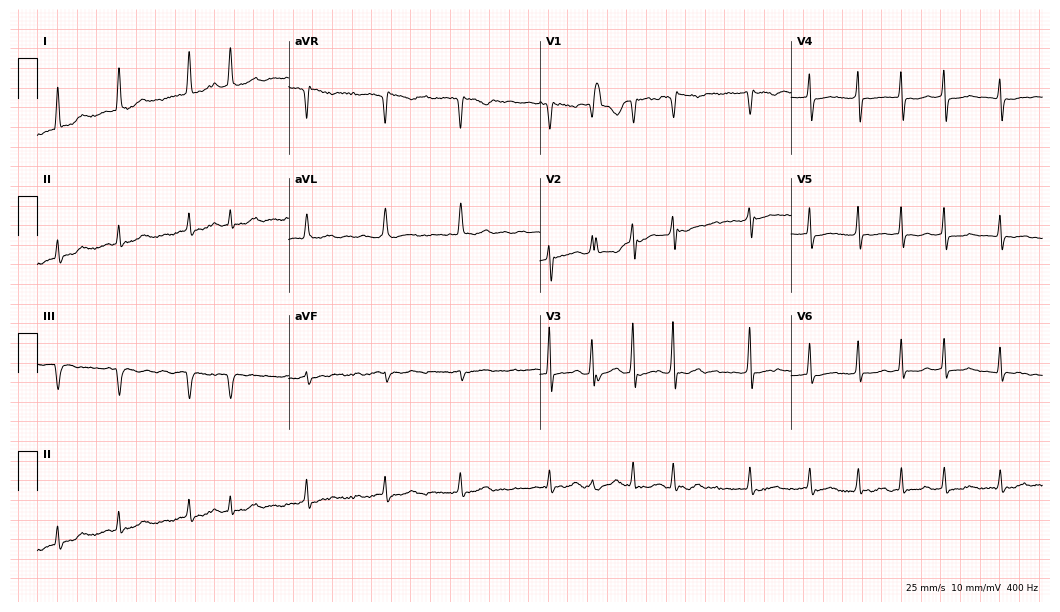
12-lead ECG (10.2-second recording at 400 Hz) from a 73-year-old female. Findings include atrial fibrillation.